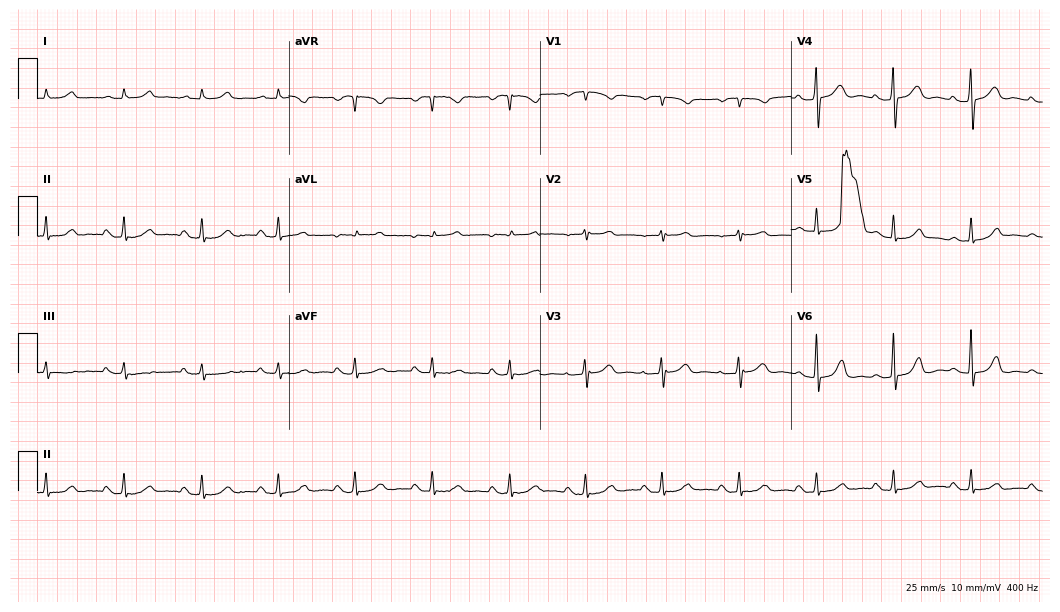
12-lead ECG (10.2-second recording at 400 Hz) from a 59-year-old woman. Labelled as a normal ECG.